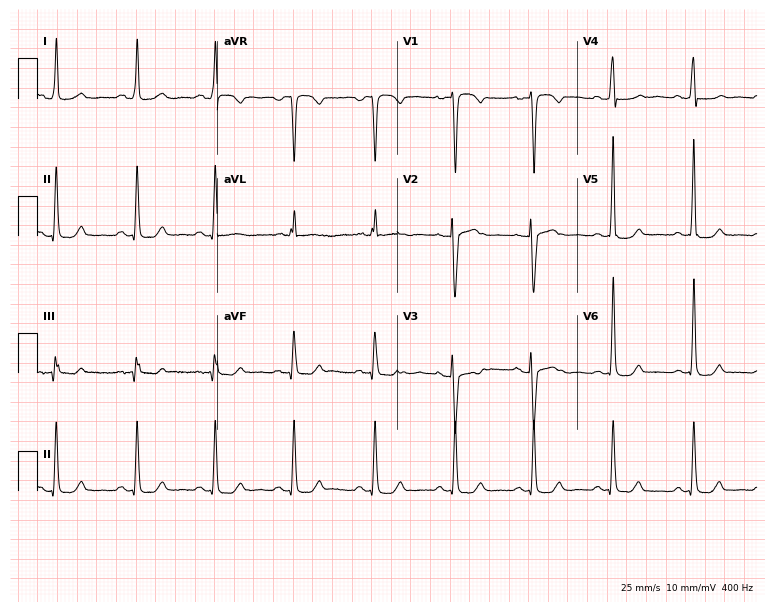
12-lead ECG from a 42-year-old female patient (7.3-second recording at 400 Hz). Recorded interpretation: within normal limits.